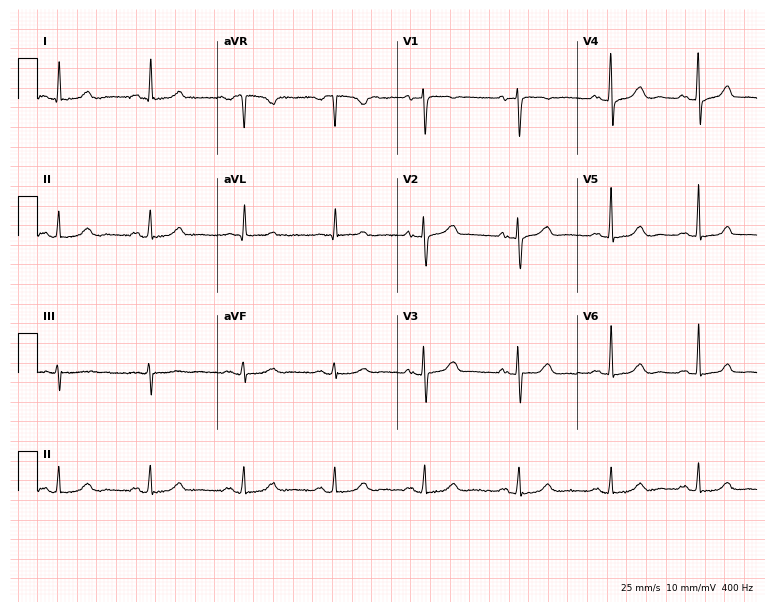
Electrocardiogram (7.3-second recording at 400 Hz), a female patient, 59 years old. Of the six screened findings (first-degree AV block, right bundle branch block, left bundle branch block, sinus bradycardia, atrial fibrillation, sinus tachycardia), none is recorded. Findings outside these six are not listed.